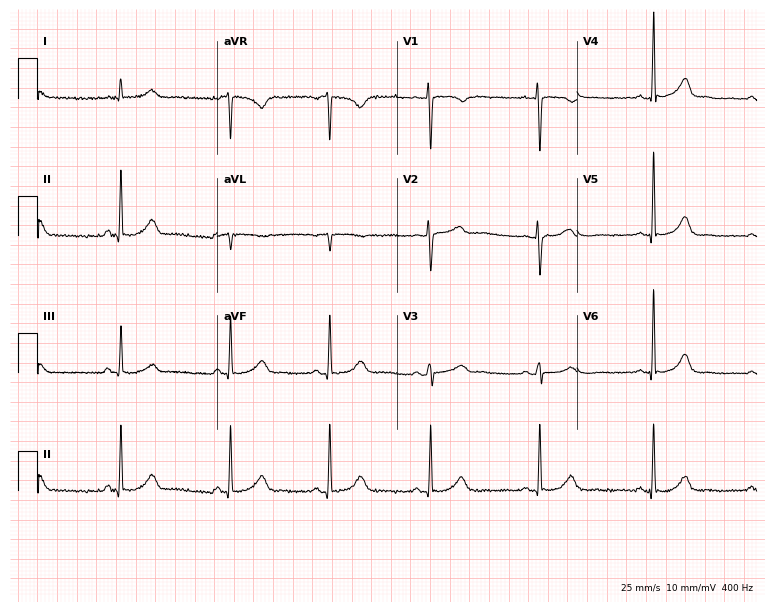
Electrocardiogram, a woman, 47 years old. Overall reading on record: normal ECG.